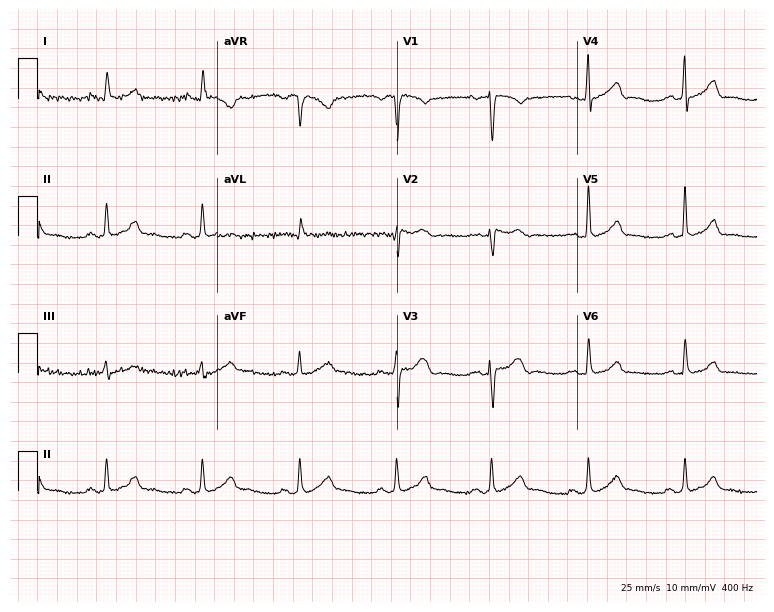
Resting 12-lead electrocardiogram (7.3-second recording at 400 Hz). Patient: a 57-year-old female. None of these six findings is recorded: first-degree AV block, right bundle branch block, left bundle branch block, sinus bradycardia, atrial fibrillation, sinus tachycardia.